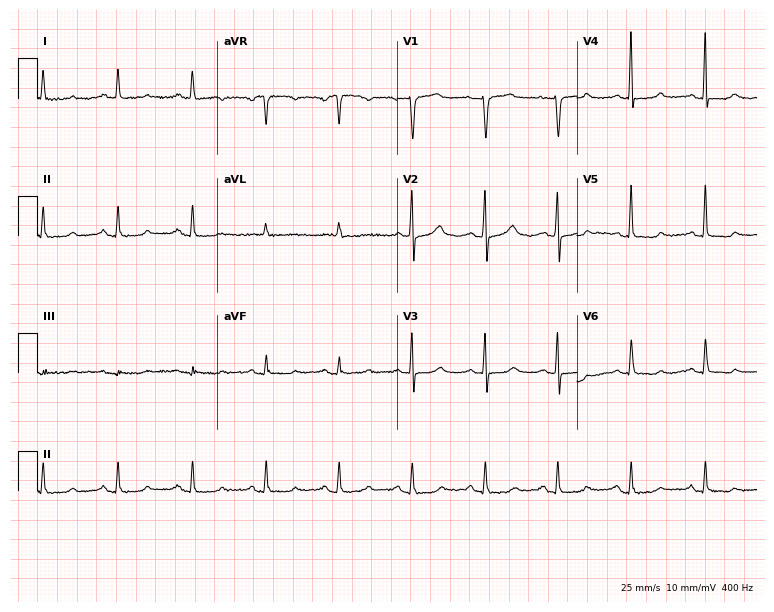
Standard 12-lead ECG recorded from a female patient, 59 years old (7.3-second recording at 400 Hz). Read as a normal ECG.